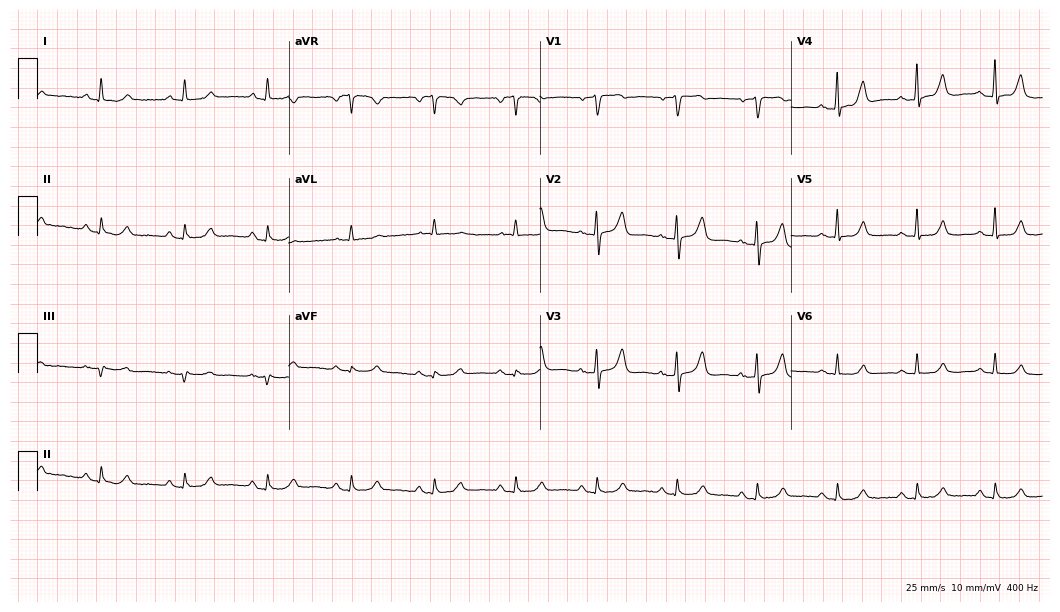
Resting 12-lead electrocardiogram (10.2-second recording at 400 Hz). Patient: a 59-year-old female. Read as a normal ECG.